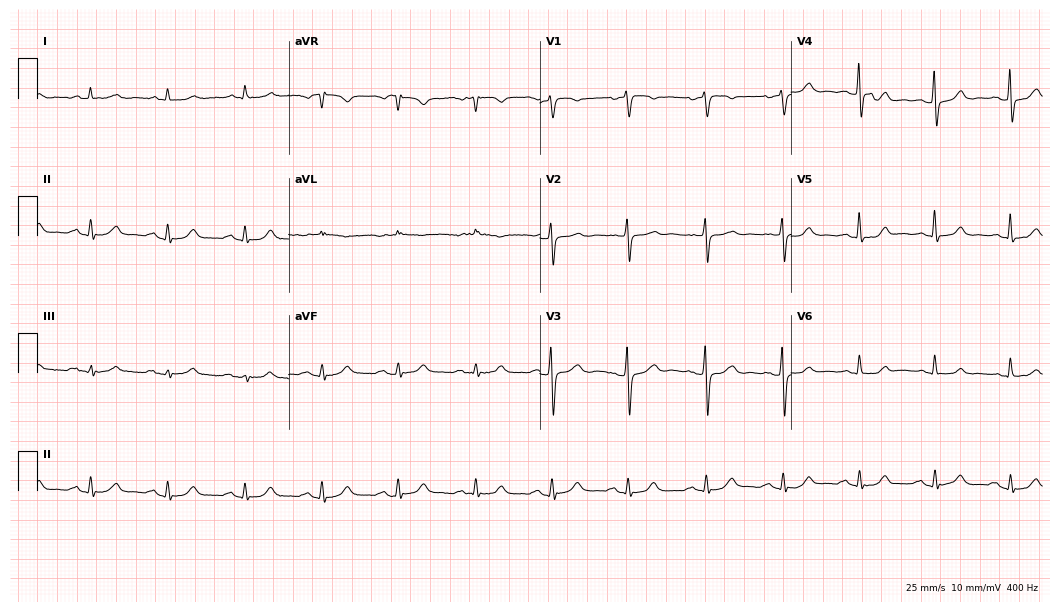
Electrocardiogram (10.2-second recording at 400 Hz), an 81-year-old male patient. Overall reading on record: normal ECG.